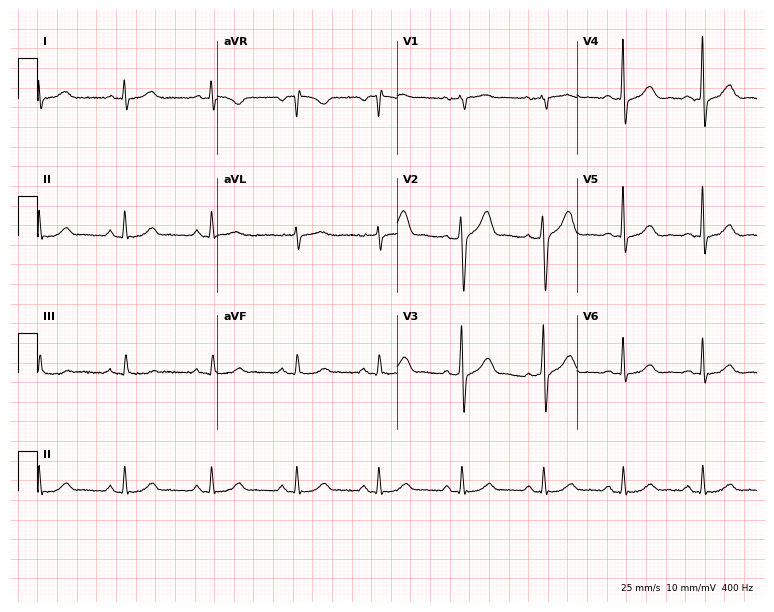
ECG — a male patient, 61 years old. Labelled as a normal ECG.